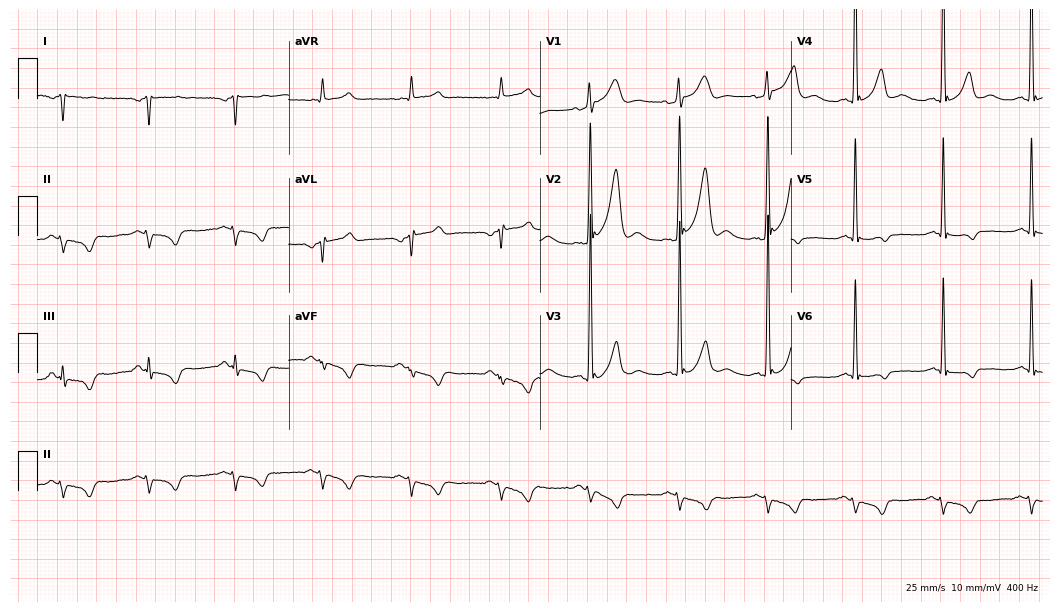
Electrocardiogram (10.2-second recording at 400 Hz), a male, 58 years old. Of the six screened findings (first-degree AV block, right bundle branch block, left bundle branch block, sinus bradycardia, atrial fibrillation, sinus tachycardia), none is recorded.